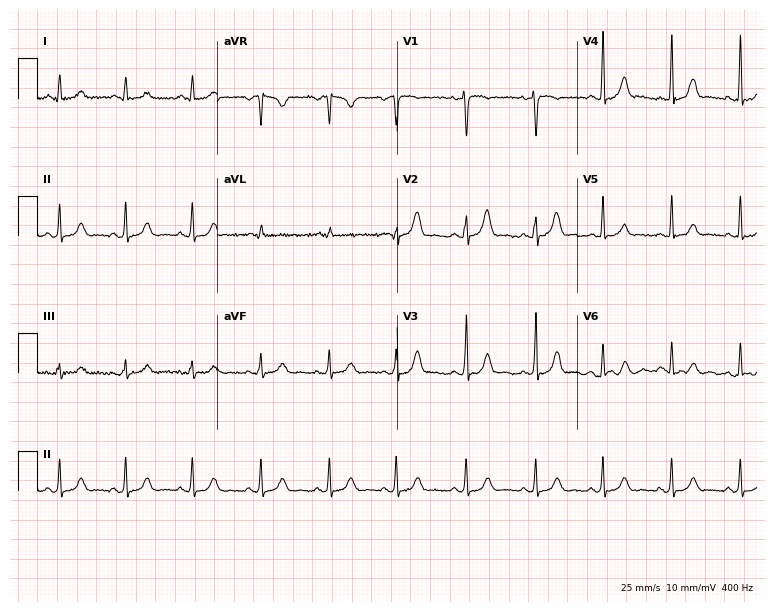
Standard 12-lead ECG recorded from a 23-year-old woman. Read as a normal ECG.